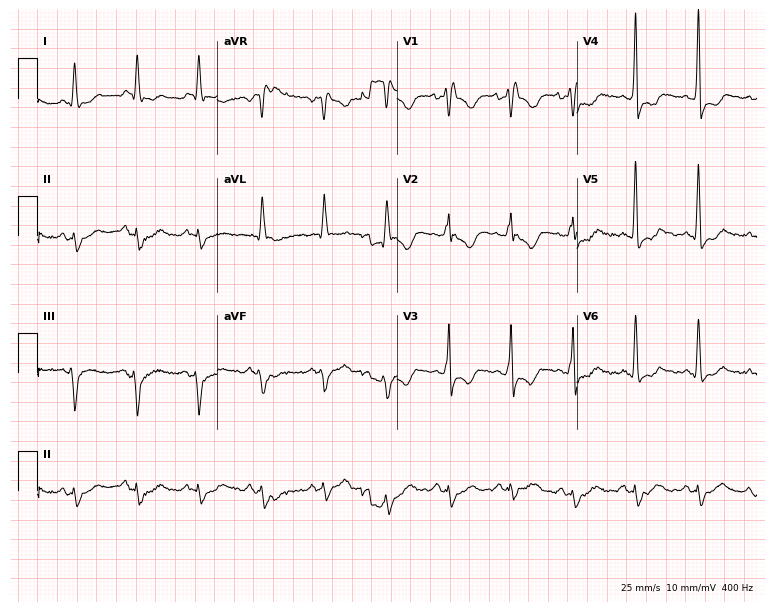
12-lead ECG from a 70-year-old male patient. Findings include right bundle branch block.